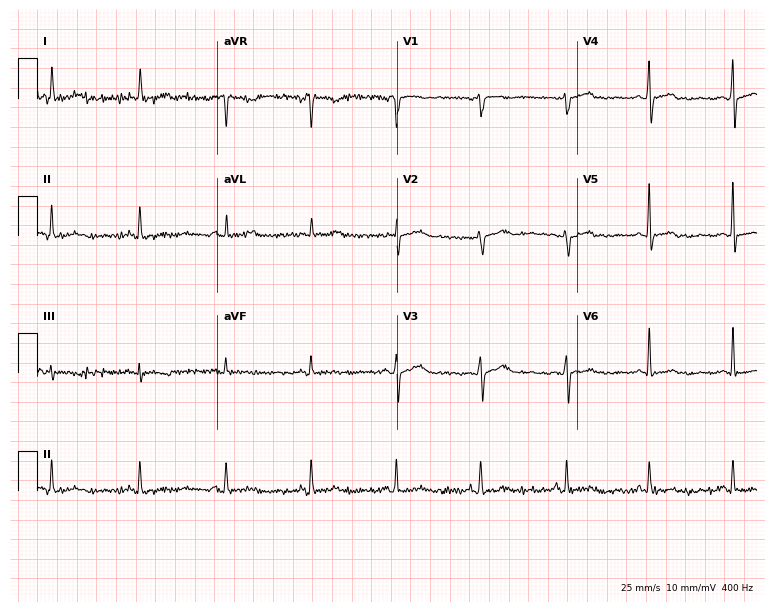
12-lead ECG from a 65-year-old female (7.3-second recording at 400 Hz). No first-degree AV block, right bundle branch block, left bundle branch block, sinus bradycardia, atrial fibrillation or sinus tachycardia recorded for this tracing. Other findings, if any, are not listed.